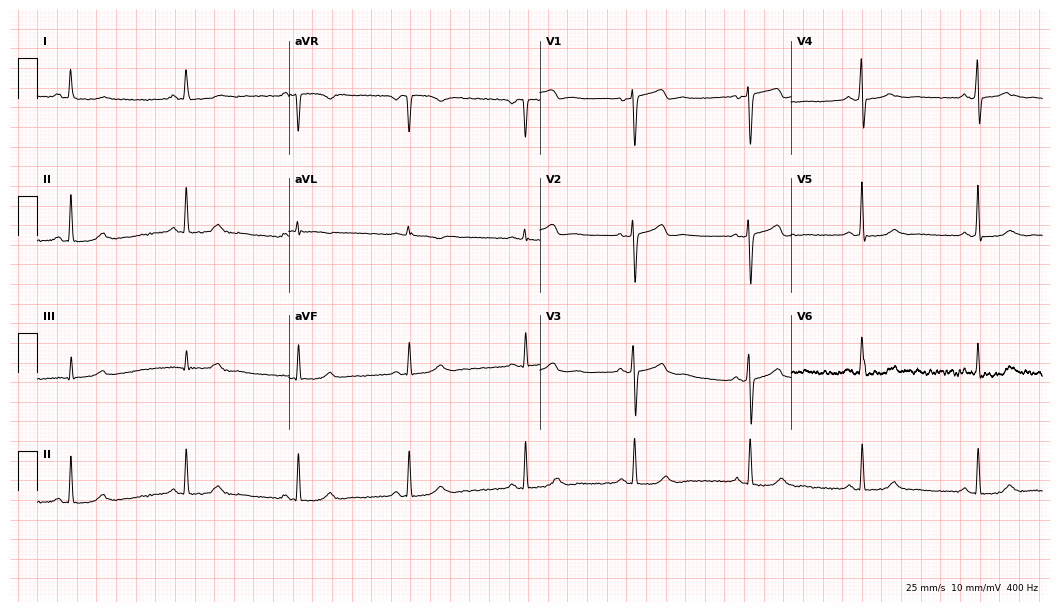
Electrocardiogram, a 47-year-old female. Of the six screened findings (first-degree AV block, right bundle branch block, left bundle branch block, sinus bradycardia, atrial fibrillation, sinus tachycardia), none is recorded. Findings outside these six are not listed.